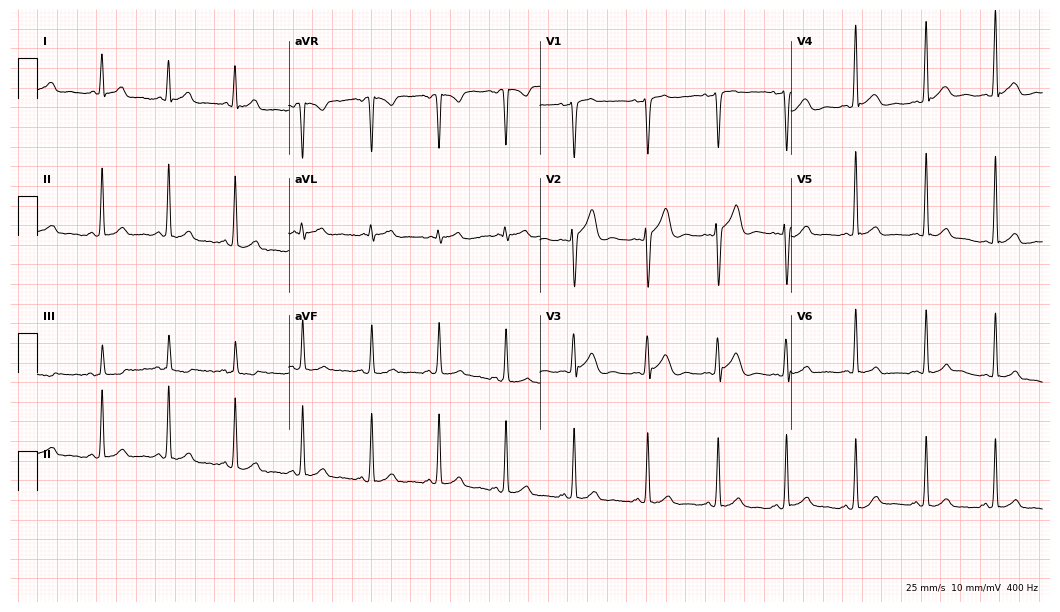
12-lead ECG from a 23-year-old man. No first-degree AV block, right bundle branch block (RBBB), left bundle branch block (LBBB), sinus bradycardia, atrial fibrillation (AF) or sinus tachycardia recorded for this tracing.